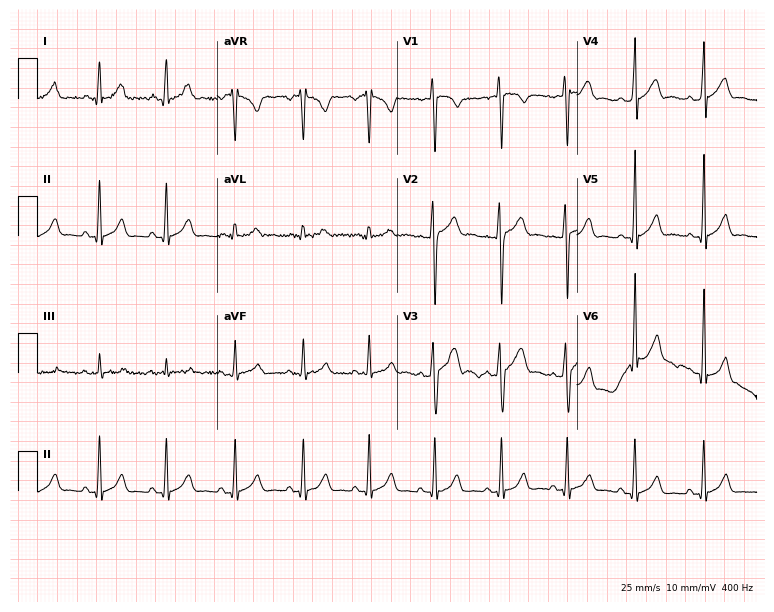
Standard 12-lead ECG recorded from a 23-year-old male patient. Read as a normal ECG.